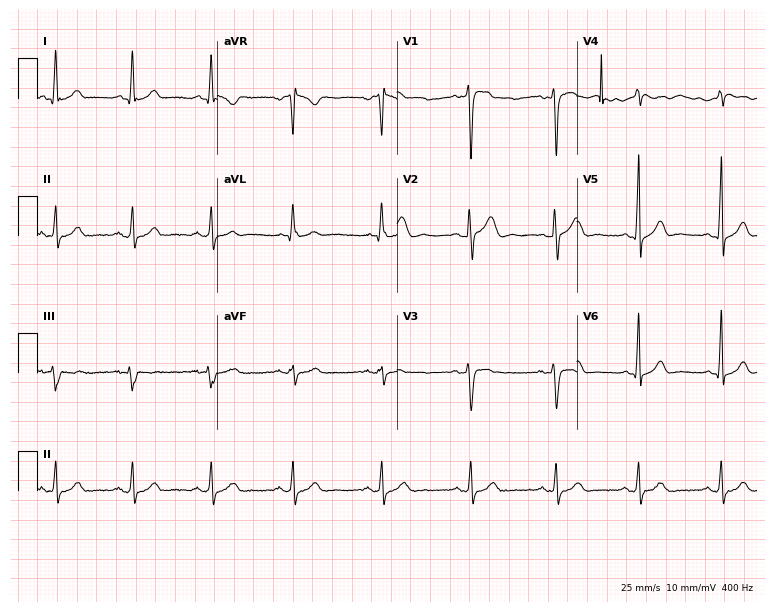
Standard 12-lead ECG recorded from a 32-year-old male (7.3-second recording at 400 Hz). Read as a normal ECG.